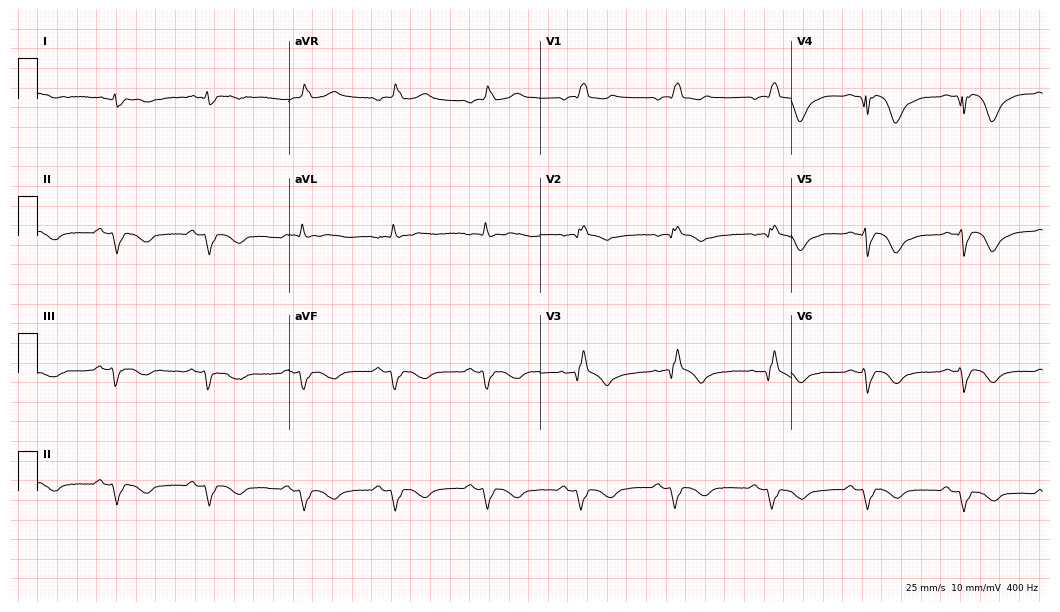
Standard 12-lead ECG recorded from a man, 67 years old. The tracing shows right bundle branch block (RBBB).